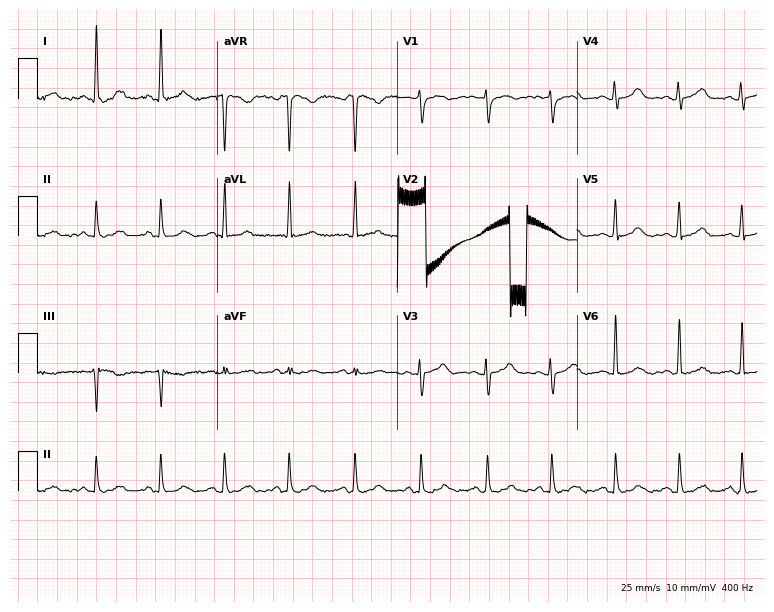
ECG (7.3-second recording at 400 Hz) — a female, 46 years old. Screened for six findings — first-degree AV block, right bundle branch block, left bundle branch block, sinus bradycardia, atrial fibrillation, sinus tachycardia — none is recorded. Findings outside these six are not listed.